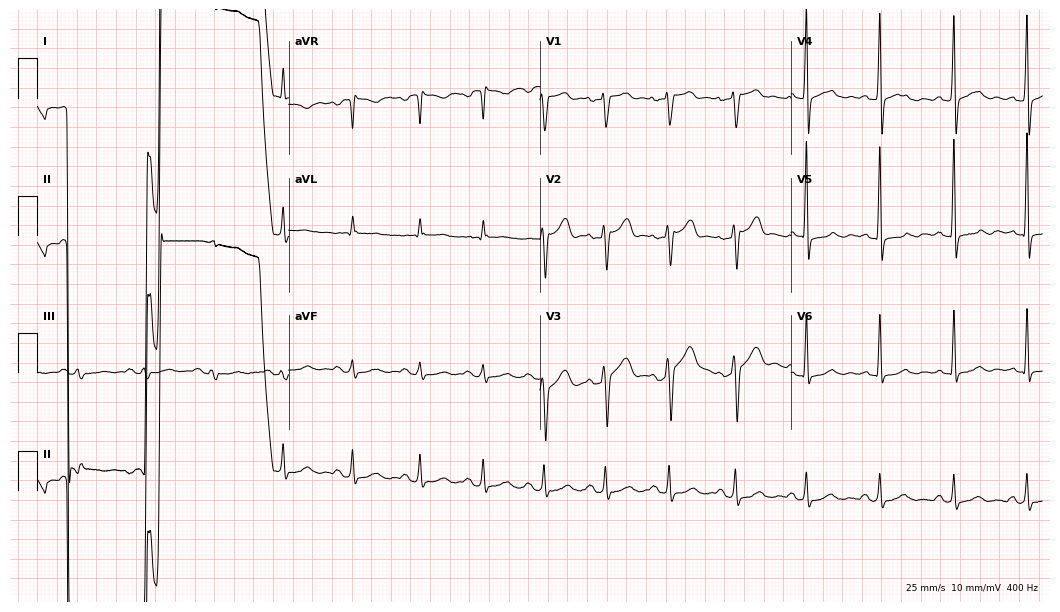
Electrocardiogram, a 55-year-old man. Of the six screened findings (first-degree AV block, right bundle branch block (RBBB), left bundle branch block (LBBB), sinus bradycardia, atrial fibrillation (AF), sinus tachycardia), none is recorded.